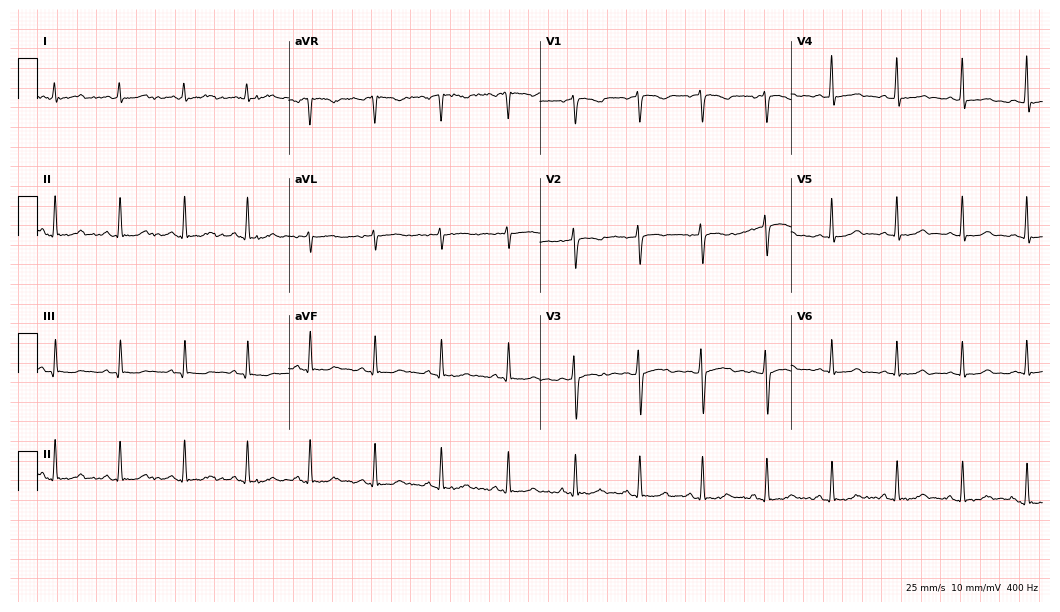
Standard 12-lead ECG recorded from a female patient, 17 years old (10.2-second recording at 400 Hz). Read as a normal ECG.